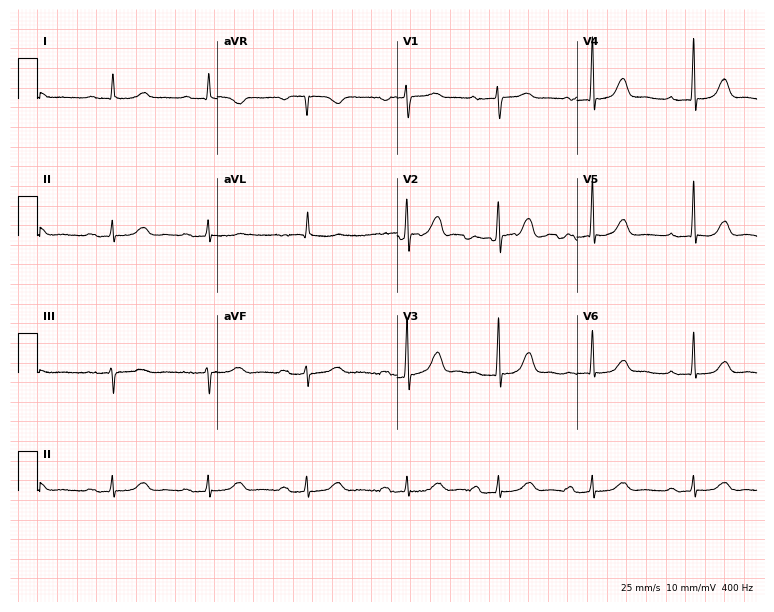
12-lead ECG (7.3-second recording at 400 Hz) from a woman, 83 years old. Findings include first-degree AV block.